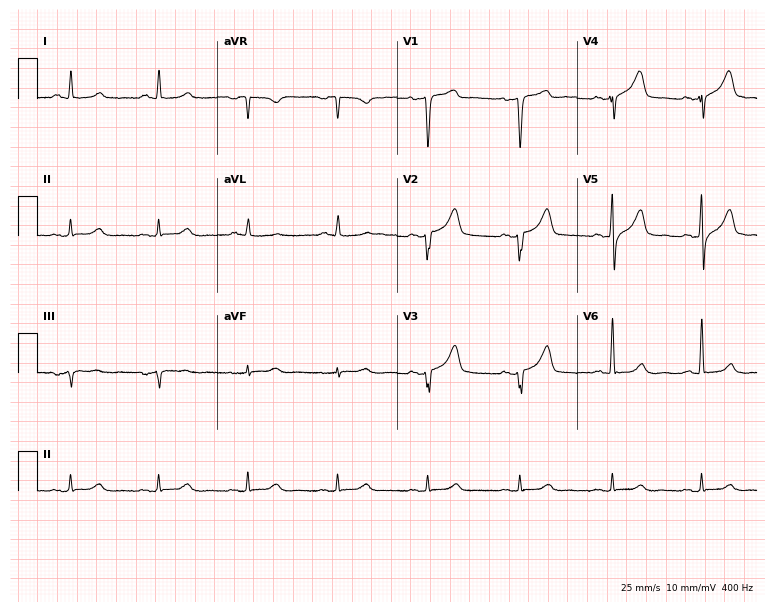
Resting 12-lead electrocardiogram. Patient: a 67-year-old male. None of these six findings is recorded: first-degree AV block, right bundle branch block, left bundle branch block, sinus bradycardia, atrial fibrillation, sinus tachycardia.